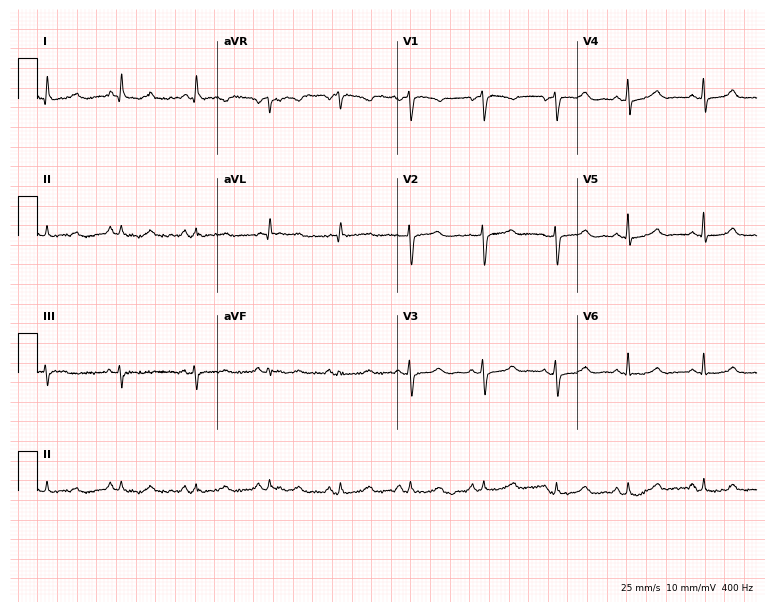
Resting 12-lead electrocardiogram. Patient: a female, 39 years old. None of these six findings is recorded: first-degree AV block, right bundle branch block (RBBB), left bundle branch block (LBBB), sinus bradycardia, atrial fibrillation (AF), sinus tachycardia. Only these six findings were labelled.